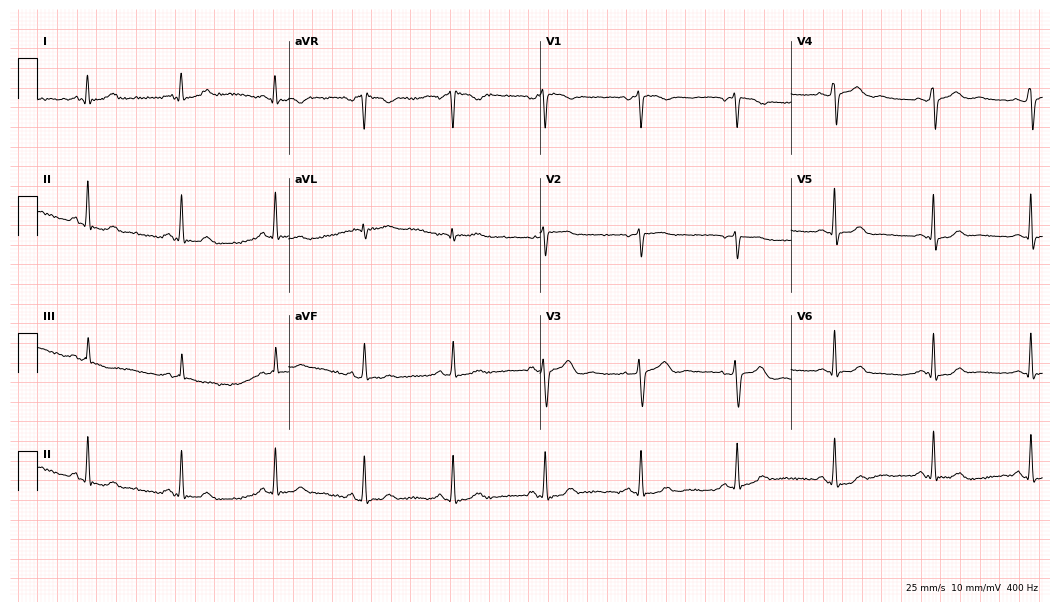
12-lead ECG (10.2-second recording at 400 Hz) from a female patient, 33 years old. Screened for six findings — first-degree AV block, right bundle branch block (RBBB), left bundle branch block (LBBB), sinus bradycardia, atrial fibrillation (AF), sinus tachycardia — none is recorded.